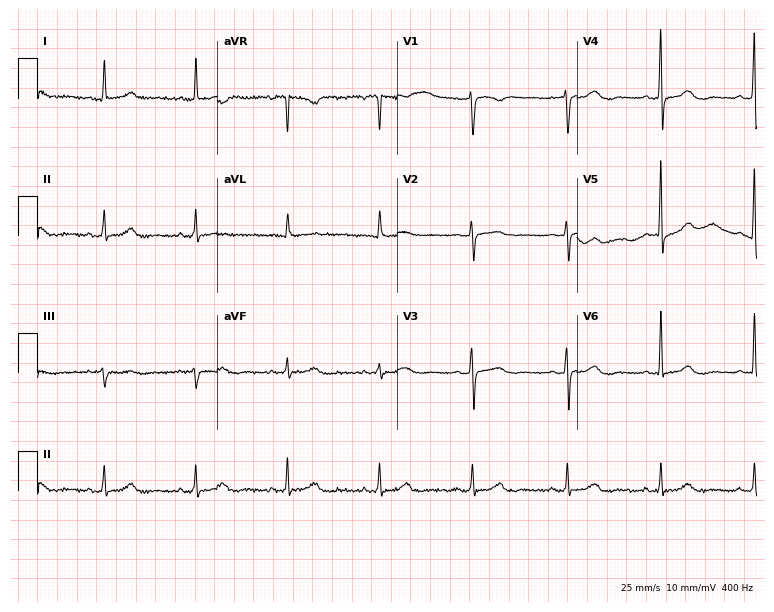
ECG — a female patient, 80 years old. Labelled as a normal ECG.